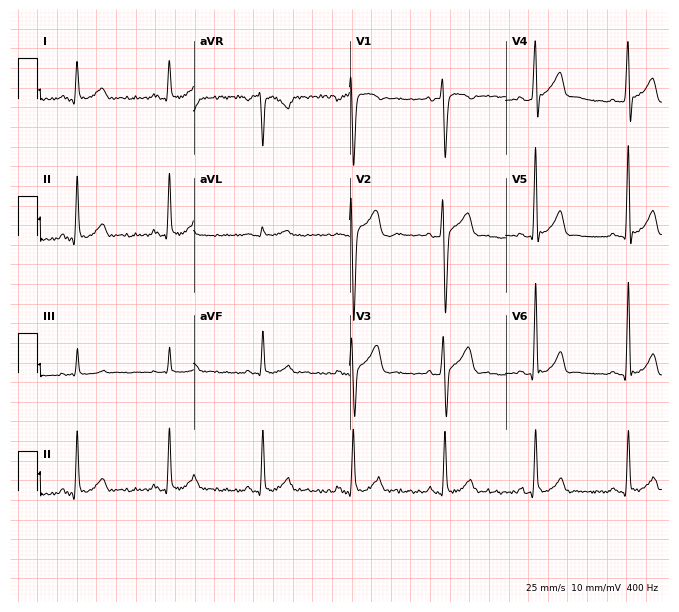
12-lead ECG from a 22-year-old male patient. Labelled as a normal ECG.